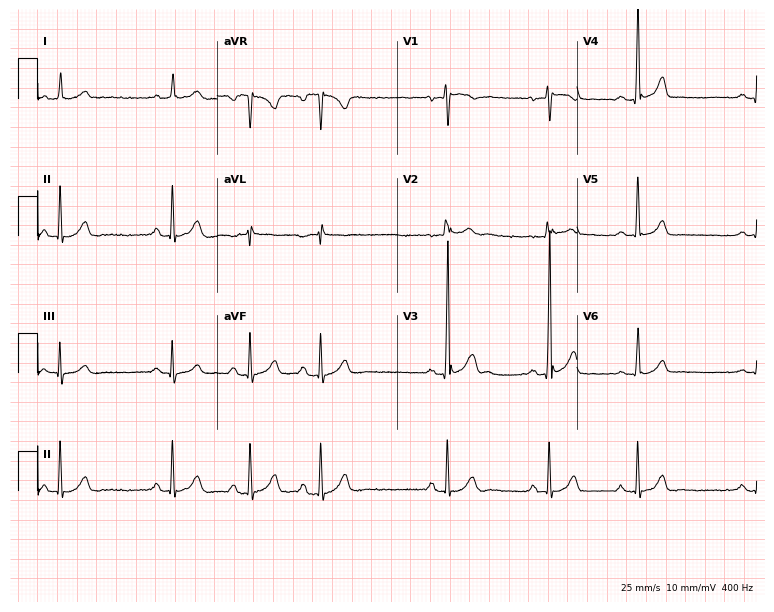
12-lead ECG (7.3-second recording at 400 Hz) from a 21-year-old male patient. Labelled as a normal ECG.